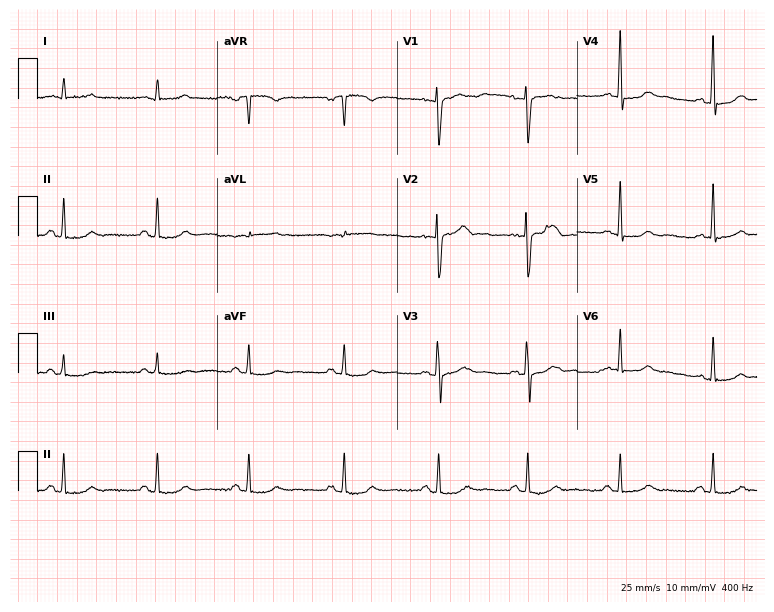
Standard 12-lead ECG recorded from a woman, 53 years old. Read as a normal ECG.